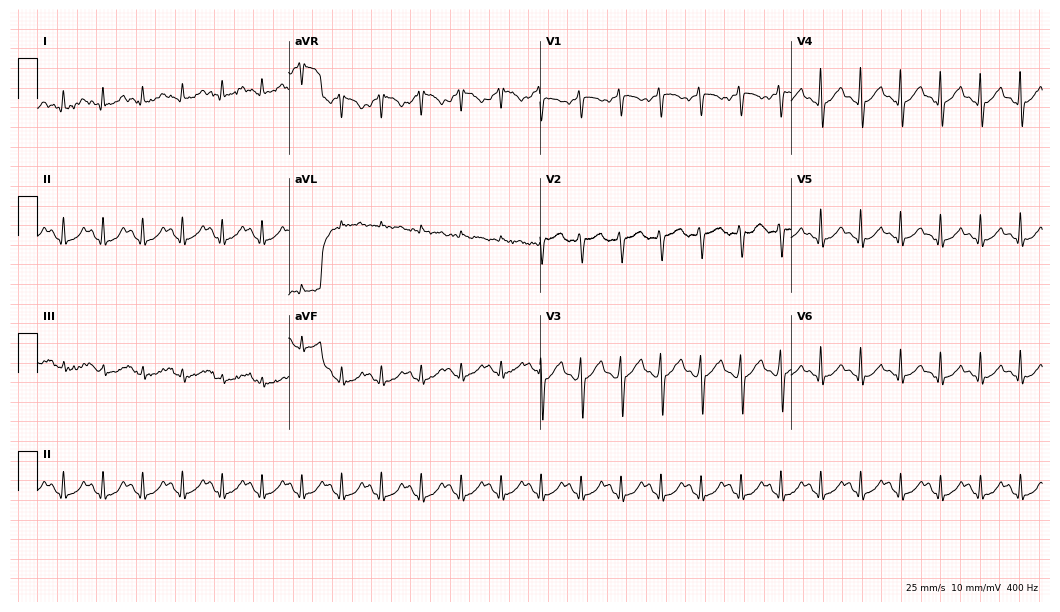
12-lead ECG from a 34-year-old female patient. Shows sinus tachycardia (a sinus rate of 100 beats per minute or more).